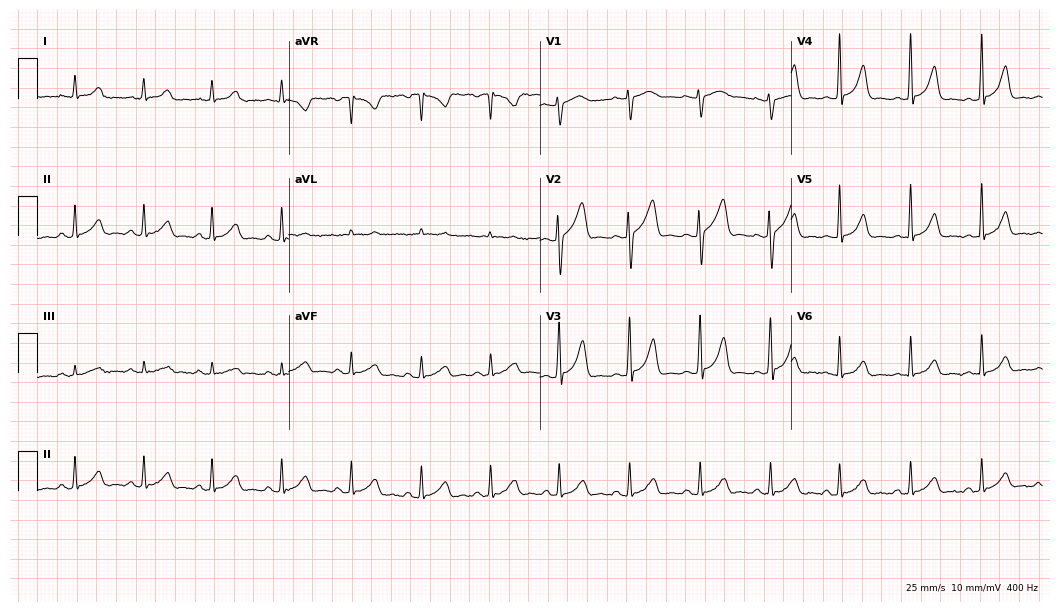
Resting 12-lead electrocardiogram (10.2-second recording at 400 Hz). Patient: a 29-year-old female. Read as a normal ECG.